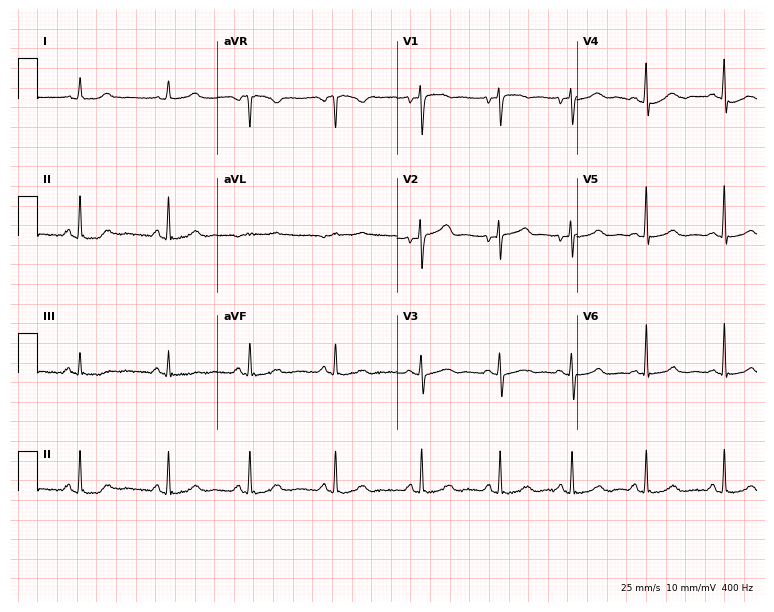
12-lead ECG from a woman, 38 years old. Screened for six findings — first-degree AV block, right bundle branch block, left bundle branch block, sinus bradycardia, atrial fibrillation, sinus tachycardia — none is recorded. Only these six findings were labelled.